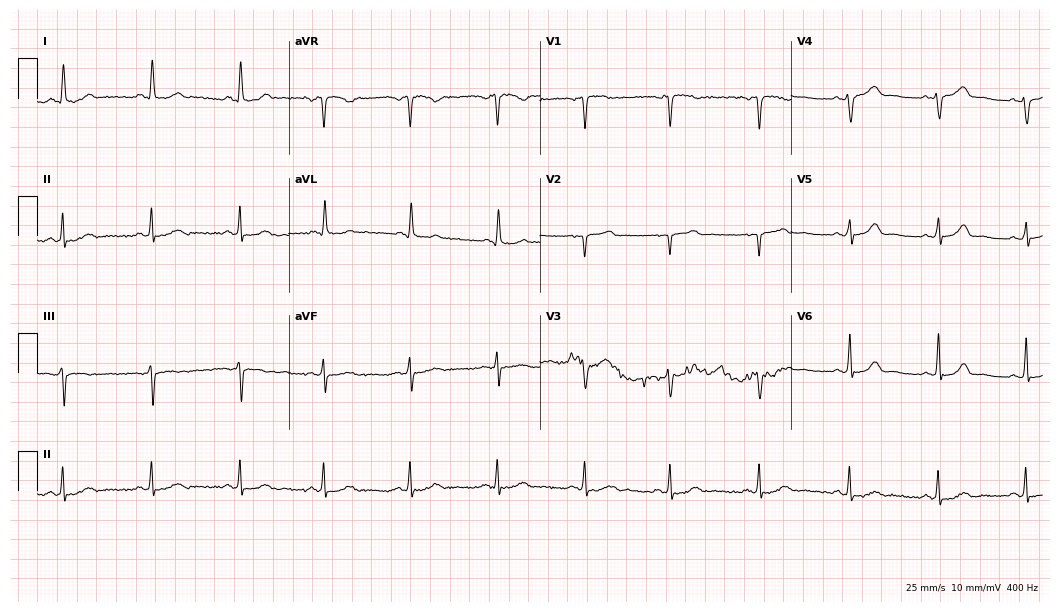
12-lead ECG from a woman, 63 years old. Recorded interpretation: within normal limits.